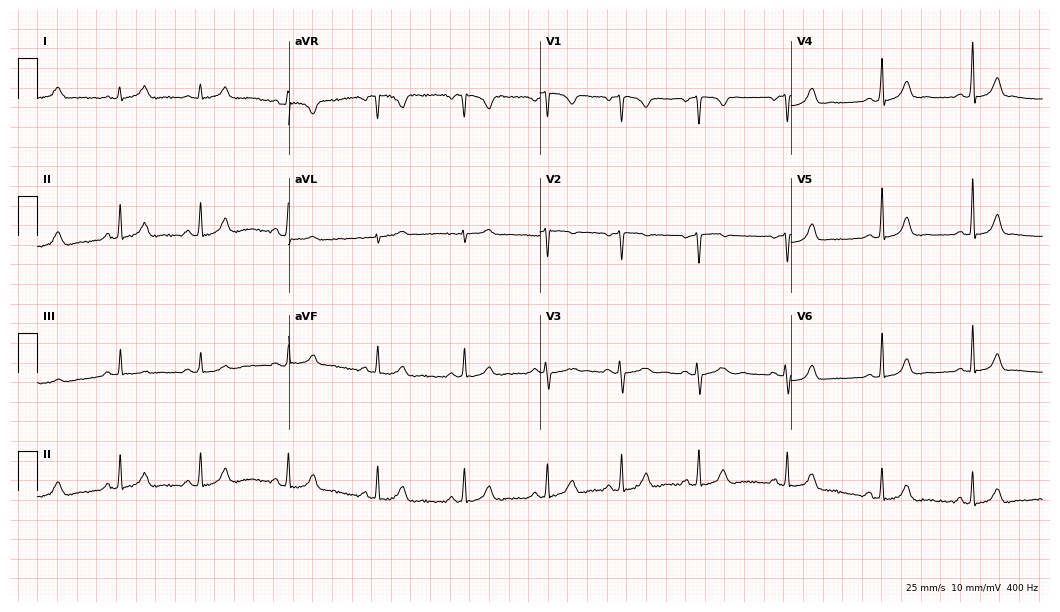
Electrocardiogram, a female patient, 23 years old. Overall reading on record: normal ECG.